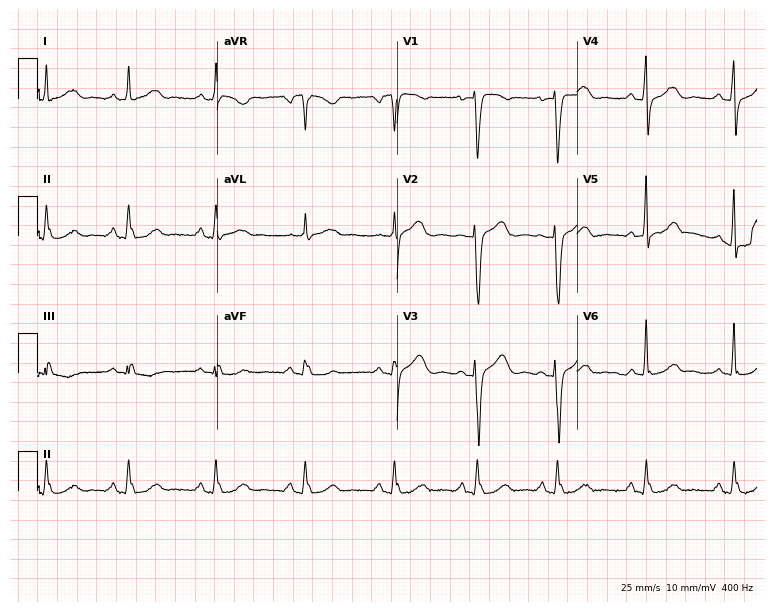
ECG — a 56-year-old female patient. Screened for six findings — first-degree AV block, right bundle branch block, left bundle branch block, sinus bradycardia, atrial fibrillation, sinus tachycardia — none is recorded.